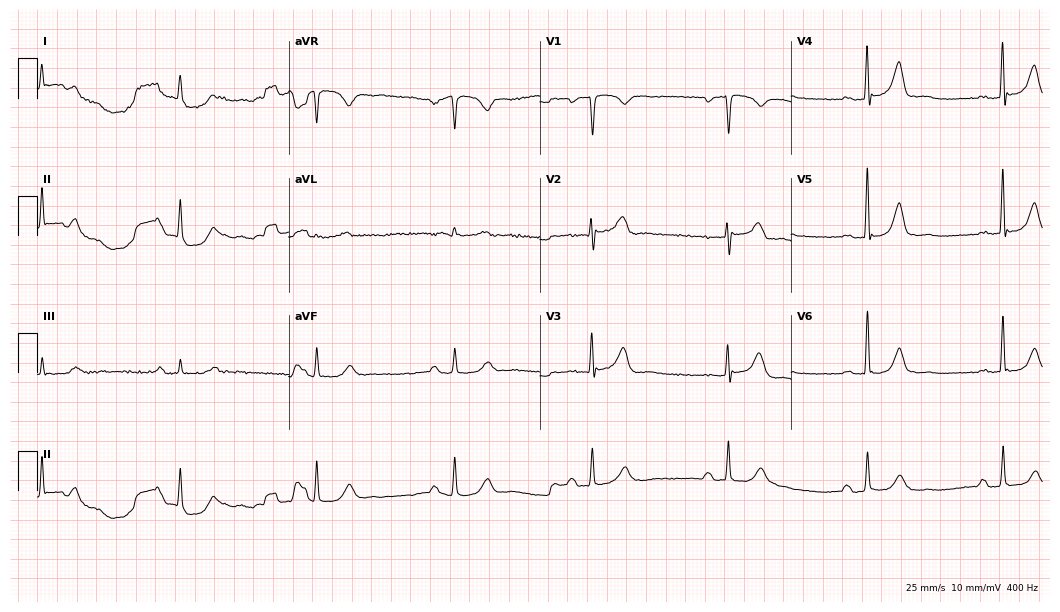
12-lead ECG (10.2-second recording at 400 Hz) from an 84-year-old male patient. Findings include first-degree AV block, sinus bradycardia (a sinus rate of 50 beats per minute or less).